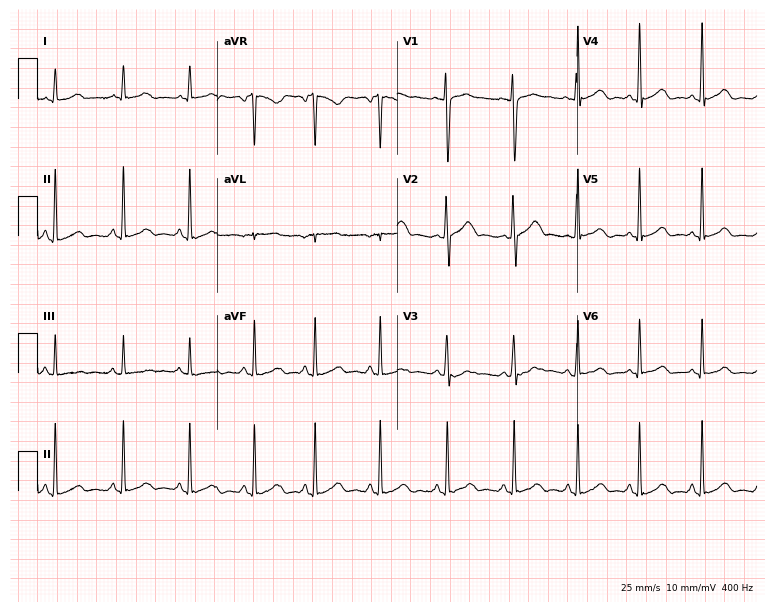
ECG (7.3-second recording at 400 Hz) — a 30-year-old female. Labelled as a normal ECG.